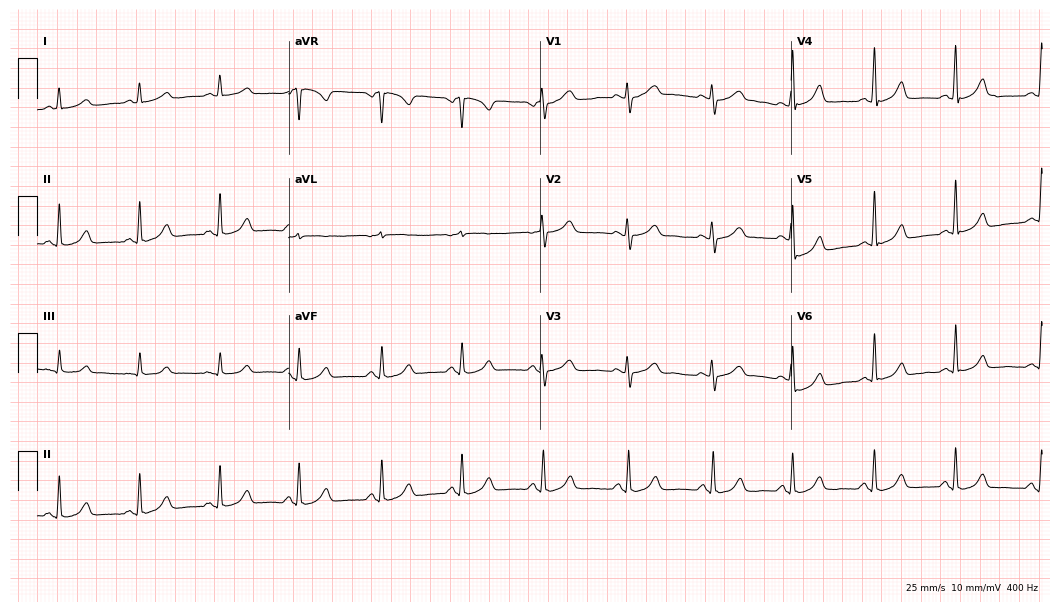
Electrocardiogram, a female patient, 56 years old. Of the six screened findings (first-degree AV block, right bundle branch block, left bundle branch block, sinus bradycardia, atrial fibrillation, sinus tachycardia), none is recorded.